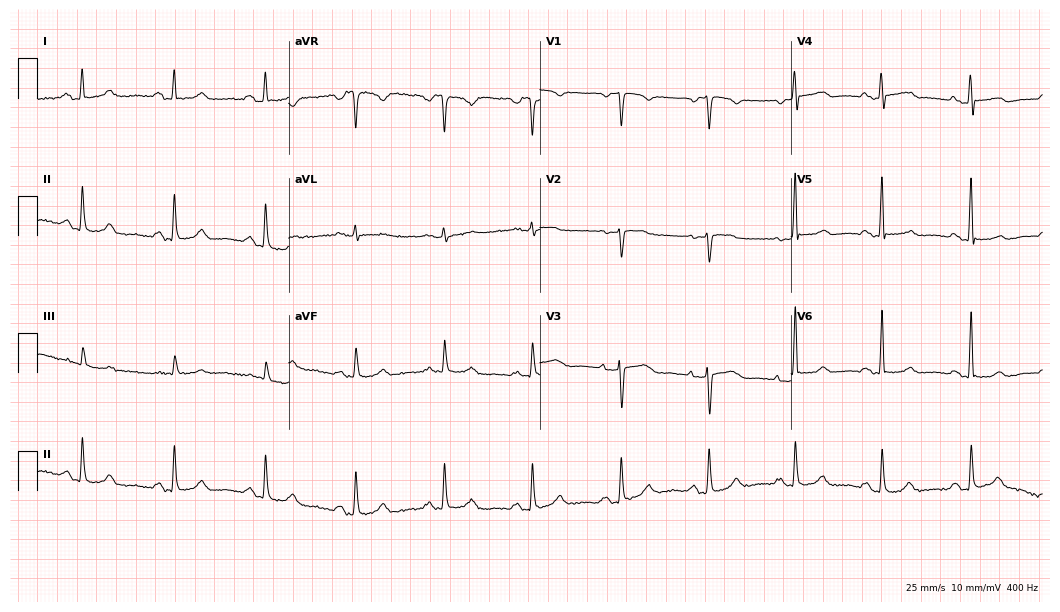
Electrocardiogram (10.2-second recording at 400 Hz), a 54-year-old woman. Overall reading on record: normal ECG.